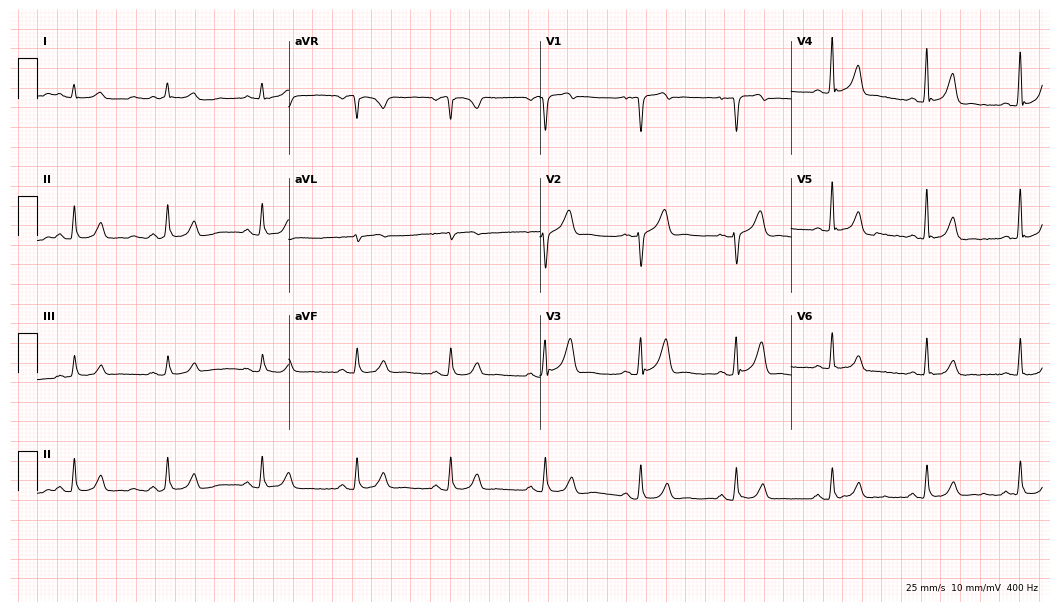
12-lead ECG from a 52-year-old male patient (10.2-second recording at 400 Hz). No first-degree AV block, right bundle branch block, left bundle branch block, sinus bradycardia, atrial fibrillation or sinus tachycardia recorded for this tracing.